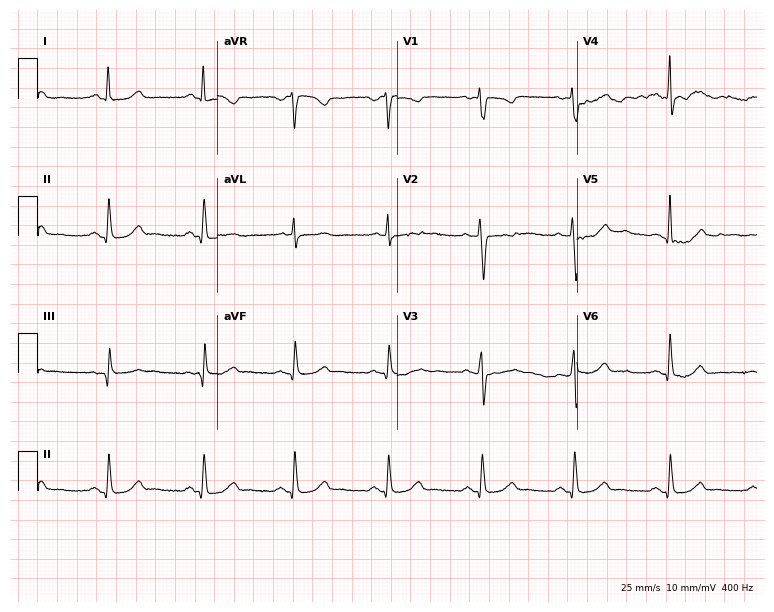
Electrocardiogram, a 49-year-old female. Of the six screened findings (first-degree AV block, right bundle branch block (RBBB), left bundle branch block (LBBB), sinus bradycardia, atrial fibrillation (AF), sinus tachycardia), none is recorded.